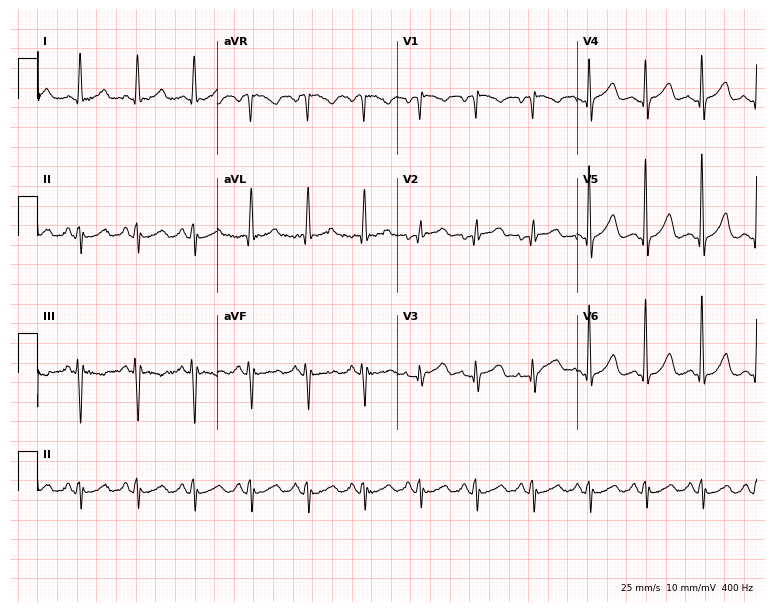
Resting 12-lead electrocardiogram (7.3-second recording at 400 Hz). Patient: a 64-year-old woman. None of these six findings is recorded: first-degree AV block, right bundle branch block, left bundle branch block, sinus bradycardia, atrial fibrillation, sinus tachycardia. Other findings, if any, are not listed.